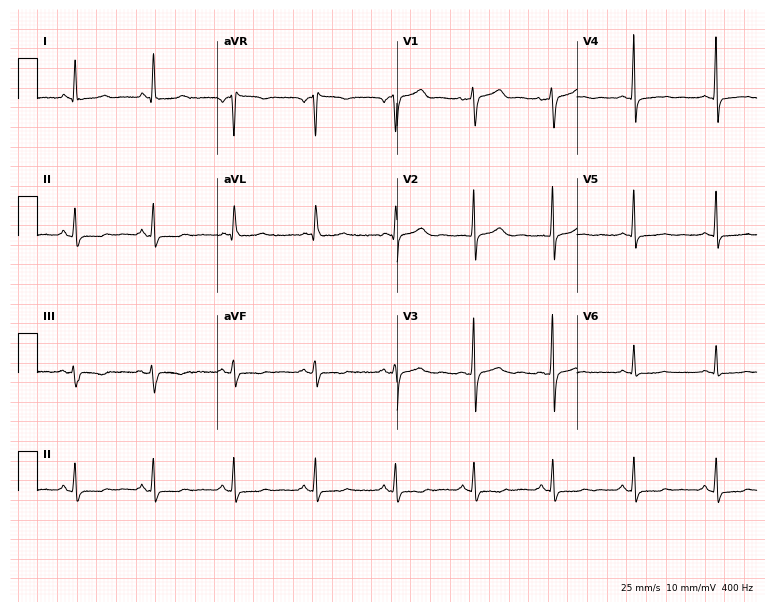
ECG — a female patient, 50 years old. Screened for six findings — first-degree AV block, right bundle branch block (RBBB), left bundle branch block (LBBB), sinus bradycardia, atrial fibrillation (AF), sinus tachycardia — none is recorded.